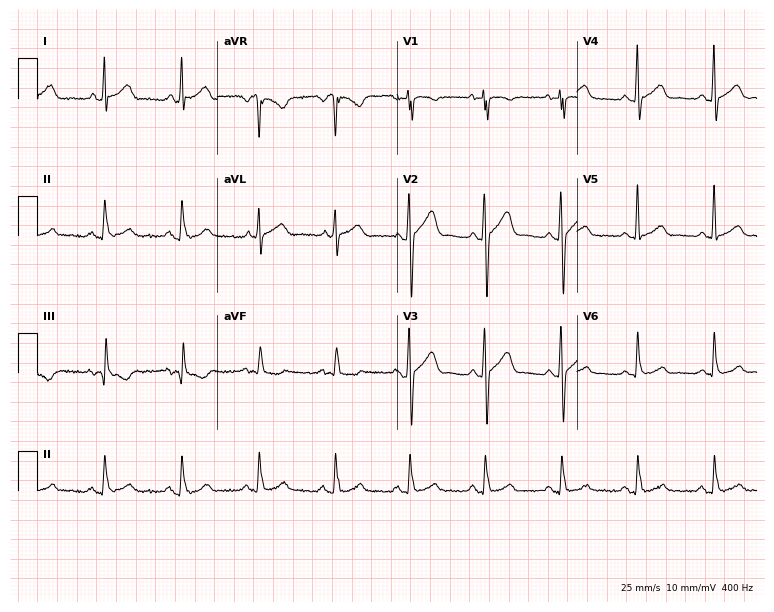
Standard 12-lead ECG recorded from a 35-year-old man. Read as a normal ECG.